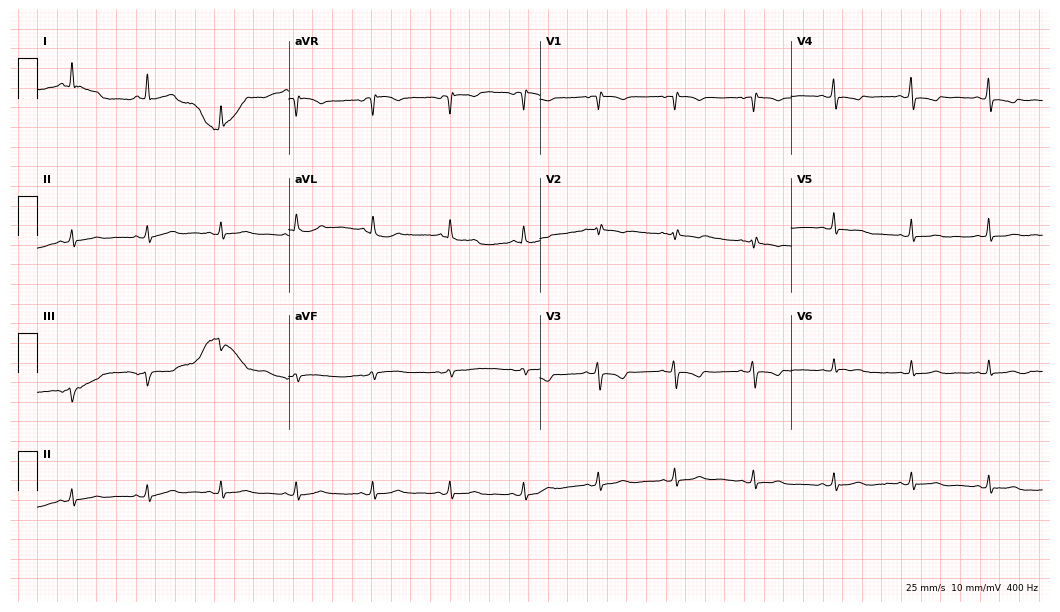
Electrocardiogram, a female patient, 53 years old. Overall reading on record: normal ECG.